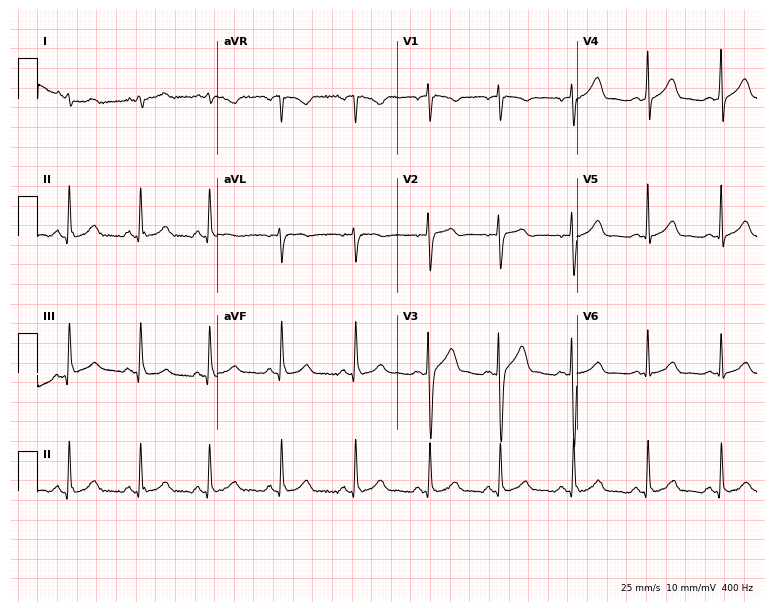
Standard 12-lead ECG recorded from a 34-year-old male patient (7.3-second recording at 400 Hz). Read as a normal ECG.